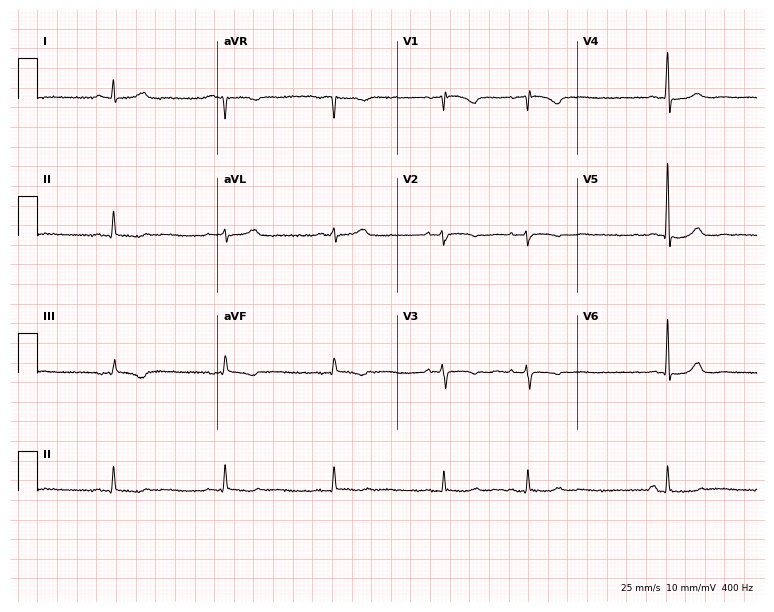
Resting 12-lead electrocardiogram (7.3-second recording at 400 Hz). Patient: a female, 59 years old. None of these six findings is recorded: first-degree AV block, right bundle branch block, left bundle branch block, sinus bradycardia, atrial fibrillation, sinus tachycardia.